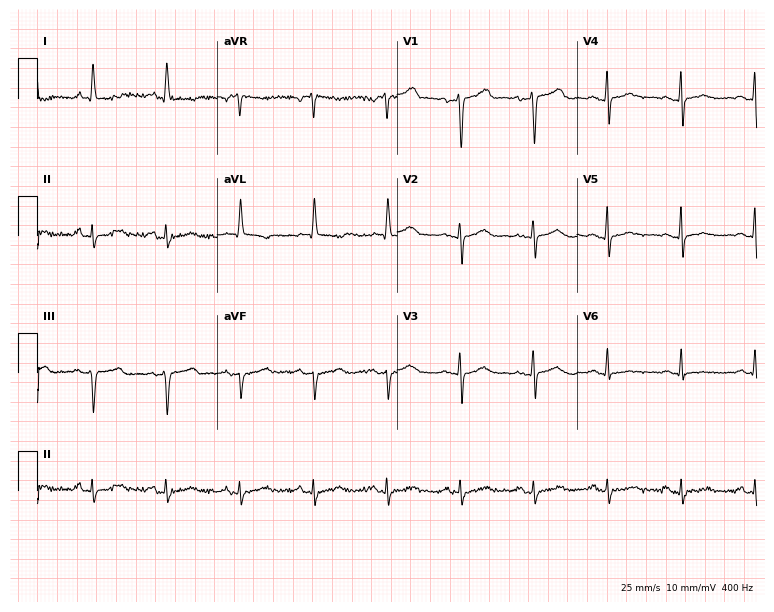
Resting 12-lead electrocardiogram. Patient: a female, 52 years old. None of these six findings is recorded: first-degree AV block, right bundle branch block, left bundle branch block, sinus bradycardia, atrial fibrillation, sinus tachycardia. Findings outside these six are not listed.